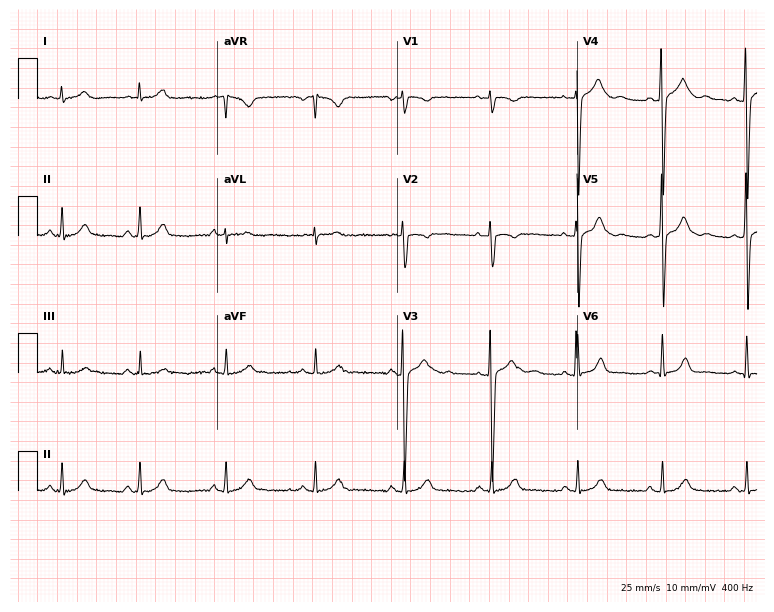
Resting 12-lead electrocardiogram (7.3-second recording at 400 Hz). Patient: a 20-year-old woman. None of these six findings is recorded: first-degree AV block, right bundle branch block, left bundle branch block, sinus bradycardia, atrial fibrillation, sinus tachycardia. Other findings, if any, are not listed.